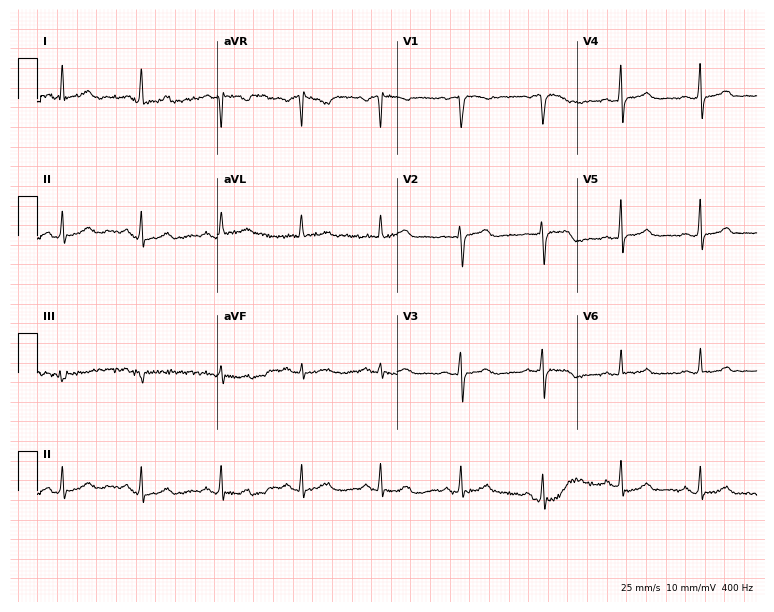
12-lead ECG from a 62-year-old female (7.3-second recording at 400 Hz). Recorded interpretation: within normal limits.